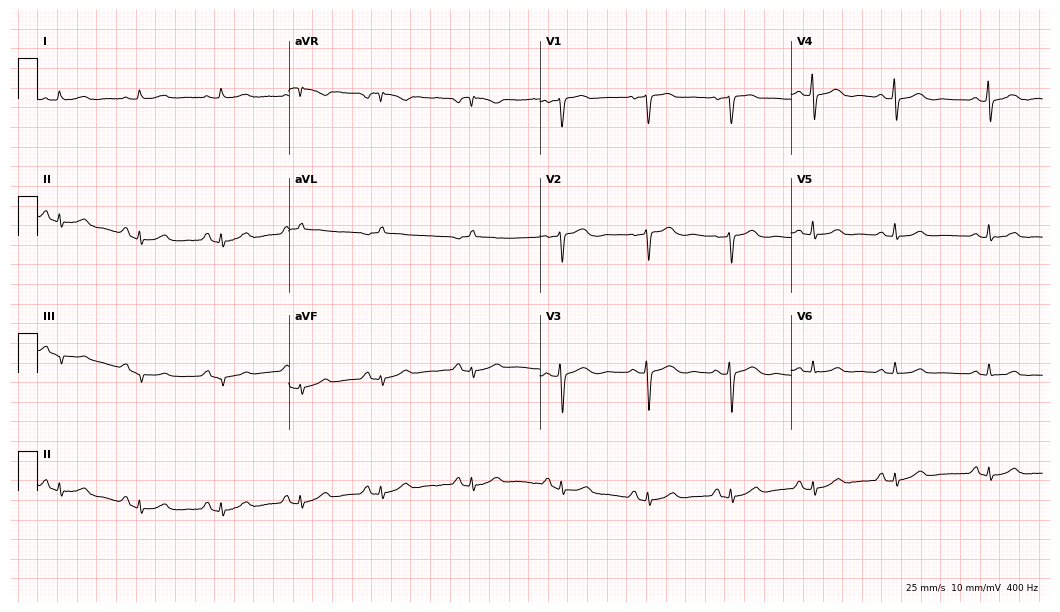
Electrocardiogram, a 48-year-old female. Overall reading on record: normal ECG.